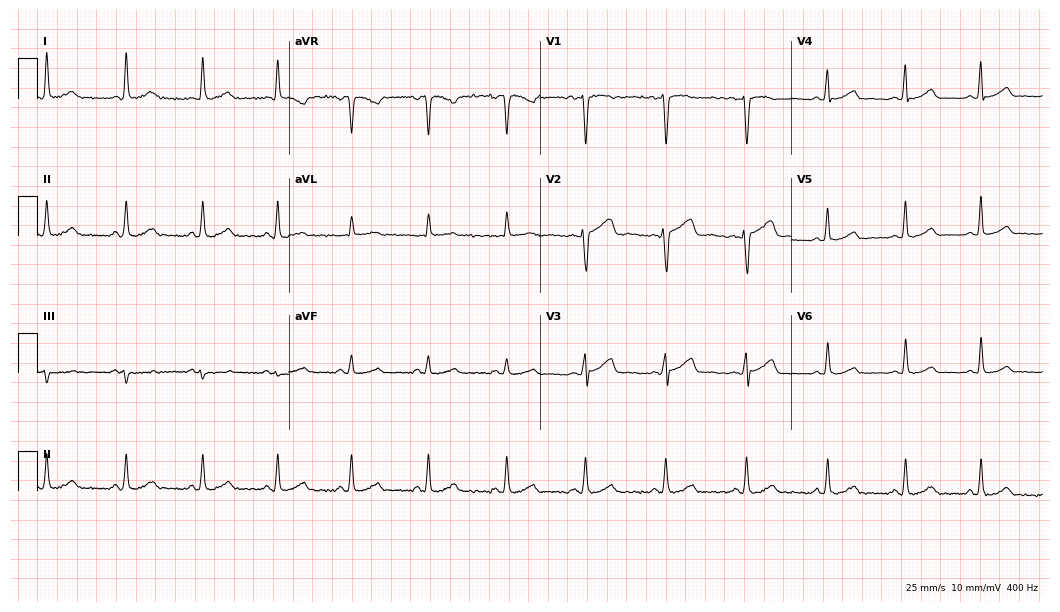
12-lead ECG from a female patient, 52 years old. Recorded interpretation: within normal limits.